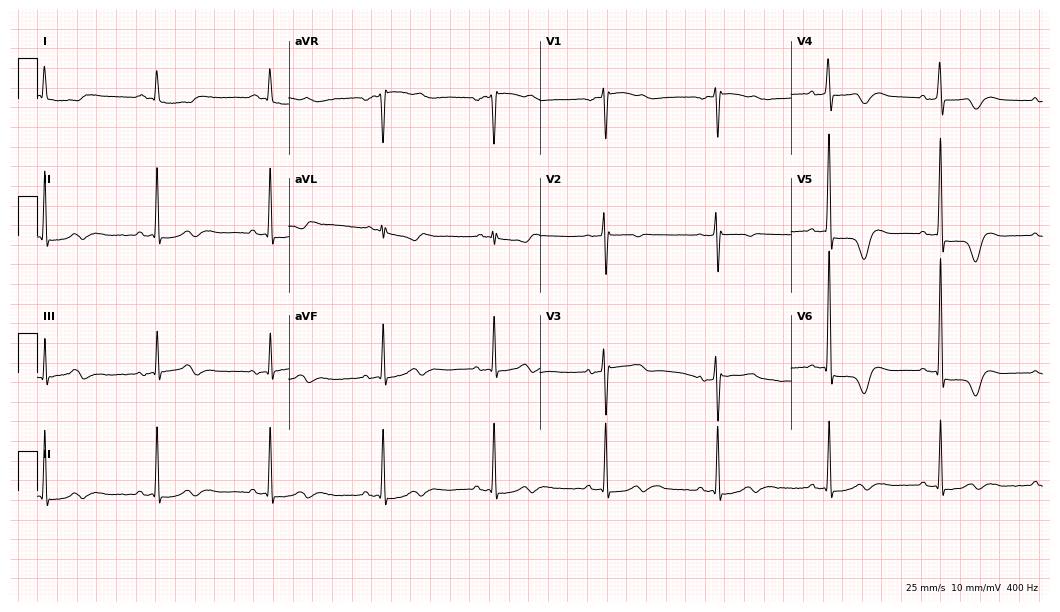
Electrocardiogram, an 80-year-old woman. Of the six screened findings (first-degree AV block, right bundle branch block (RBBB), left bundle branch block (LBBB), sinus bradycardia, atrial fibrillation (AF), sinus tachycardia), none is recorded.